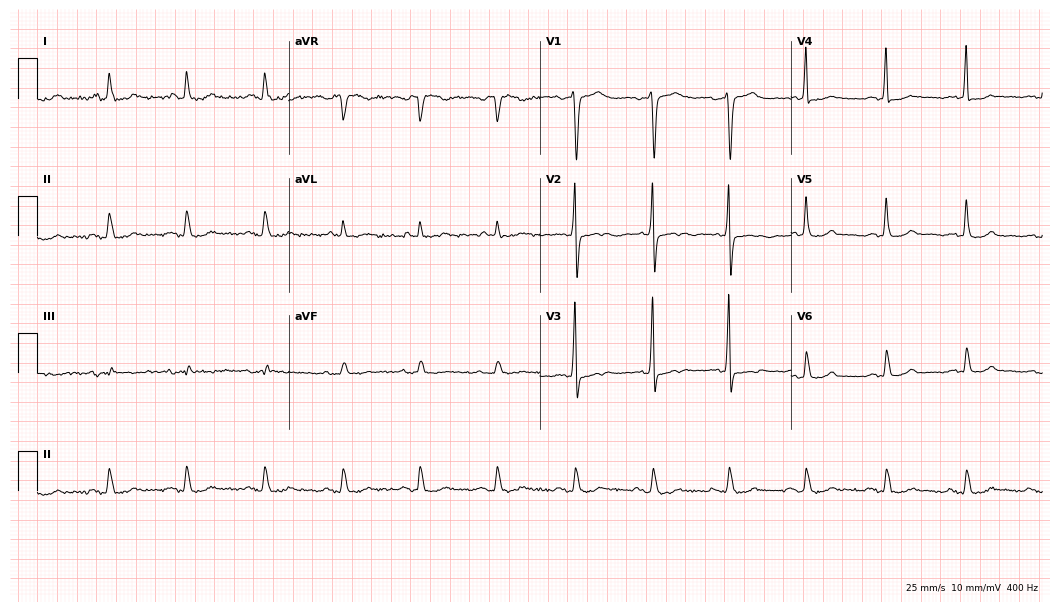
Electrocardiogram (10.2-second recording at 400 Hz), a 62-year-old male. Of the six screened findings (first-degree AV block, right bundle branch block (RBBB), left bundle branch block (LBBB), sinus bradycardia, atrial fibrillation (AF), sinus tachycardia), none is recorded.